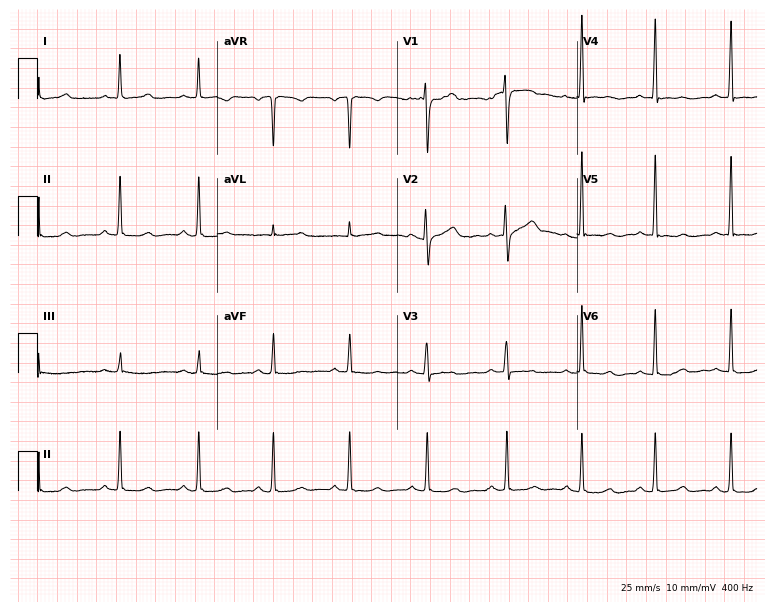
12-lead ECG from a female, 48 years old. No first-degree AV block, right bundle branch block (RBBB), left bundle branch block (LBBB), sinus bradycardia, atrial fibrillation (AF) or sinus tachycardia recorded for this tracing.